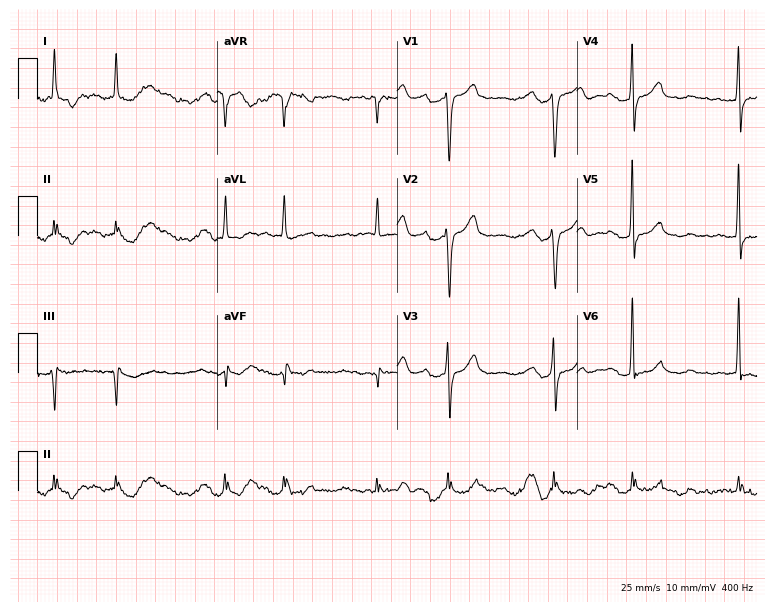
12-lead ECG from an 85-year-old man. Screened for six findings — first-degree AV block, right bundle branch block, left bundle branch block, sinus bradycardia, atrial fibrillation, sinus tachycardia — none is recorded. Other findings, if any, are not listed.